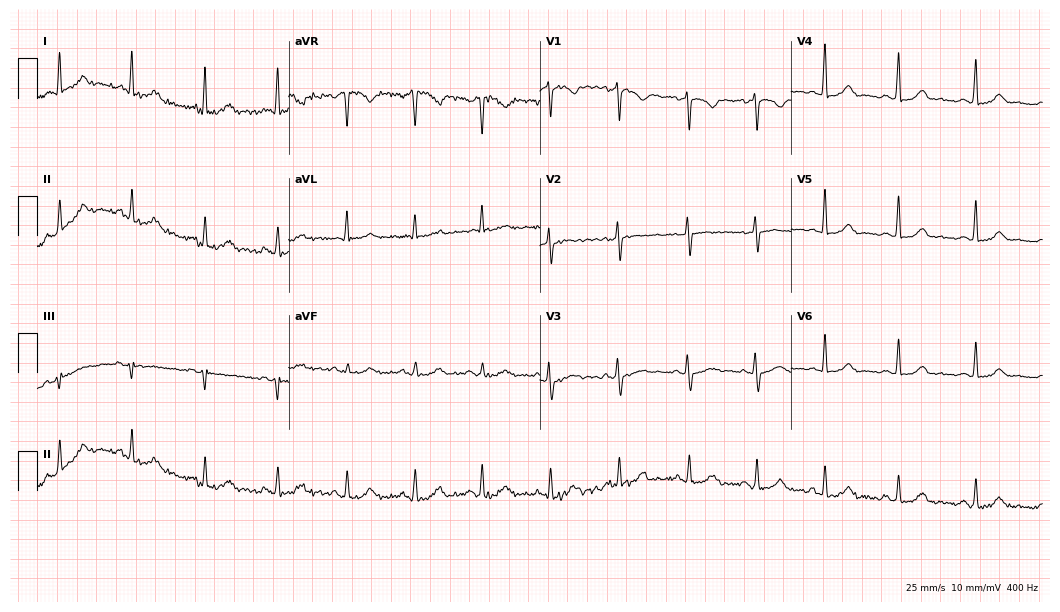
Electrocardiogram, a 37-year-old female patient. Overall reading on record: normal ECG.